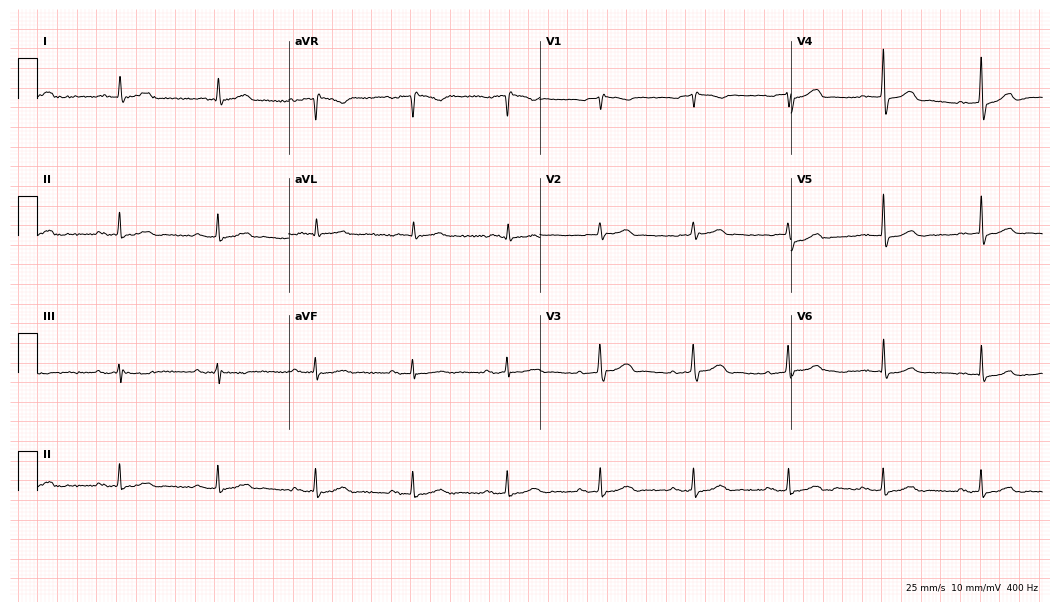
Resting 12-lead electrocardiogram (10.2-second recording at 400 Hz). Patient: an 80-year-old man. Read as a normal ECG.